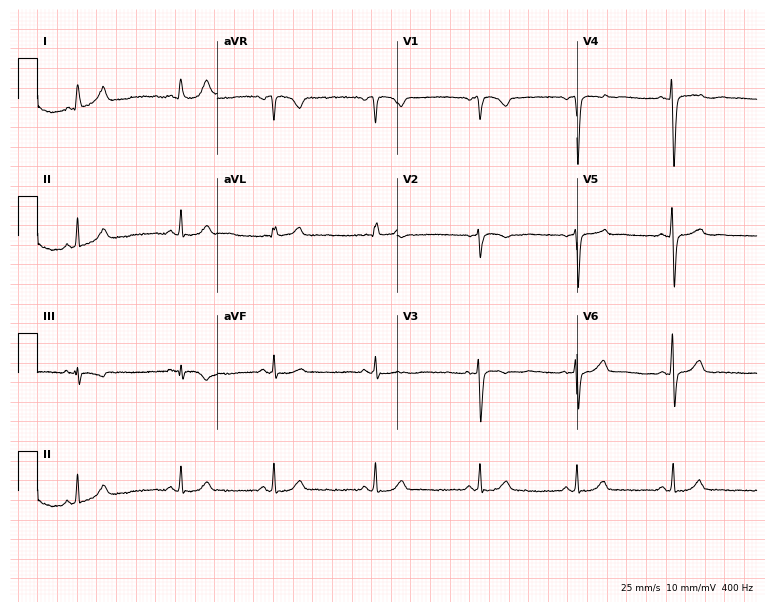
12-lead ECG from a 36-year-old woman. Recorded interpretation: within normal limits.